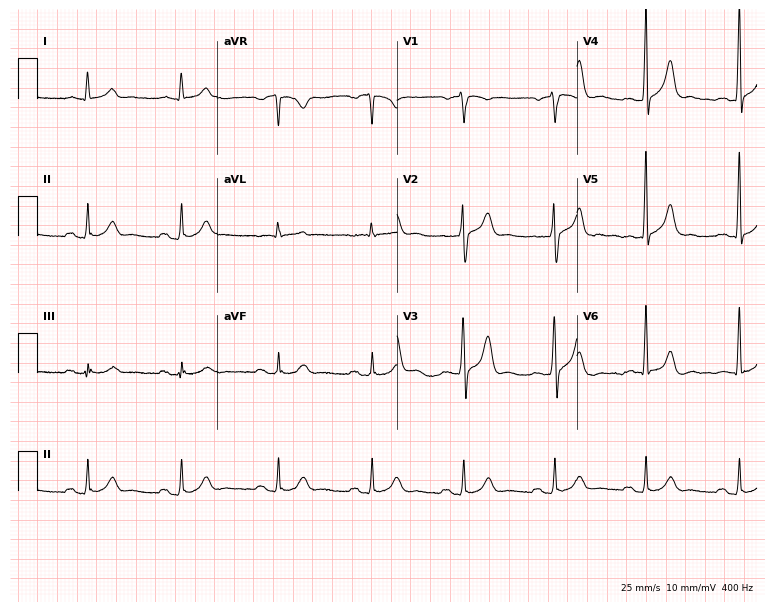
12-lead ECG from a 61-year-old male. Screened for six findings — first-degree AV block, right bundle branch block (RBBB), left bundle branch block (LBBB), sinus bradycardia, atrial fibrillation (AF), sinus tachycardia — none is recorded.